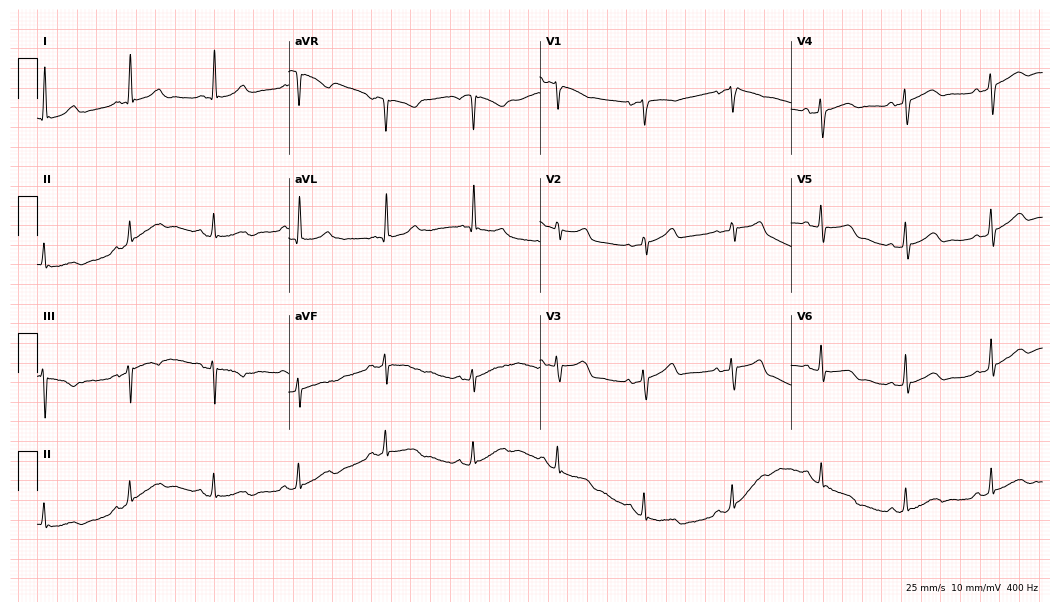
12-lead ECG from a female, 64 years old. Labelled as a normal ECG.